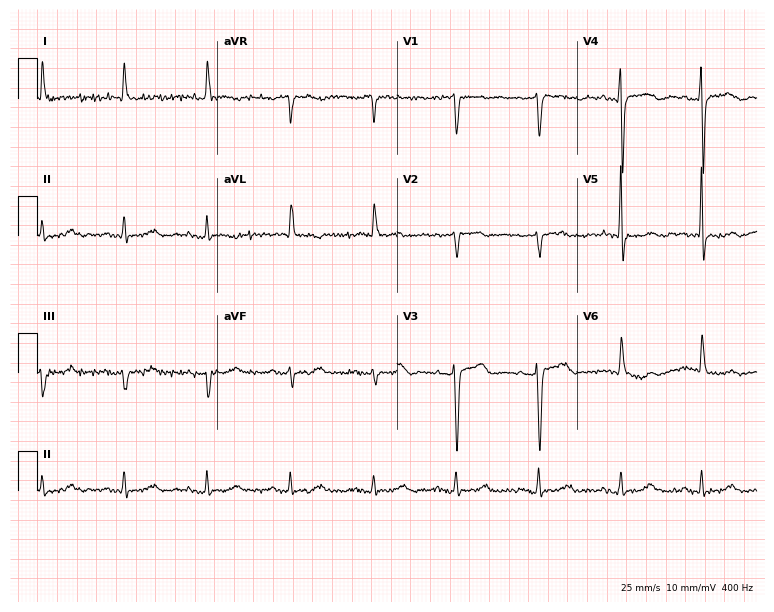
Resting 12-lead electrocardiogram (7.3-second recording at 400 Hz). Patient: an 81-year-old female. None of these six findings is recorded: first-degree AV block, right bundle branch block, left bundle branch block, sinus bradycardia, atrial fibrillation, sinus tachycardia.